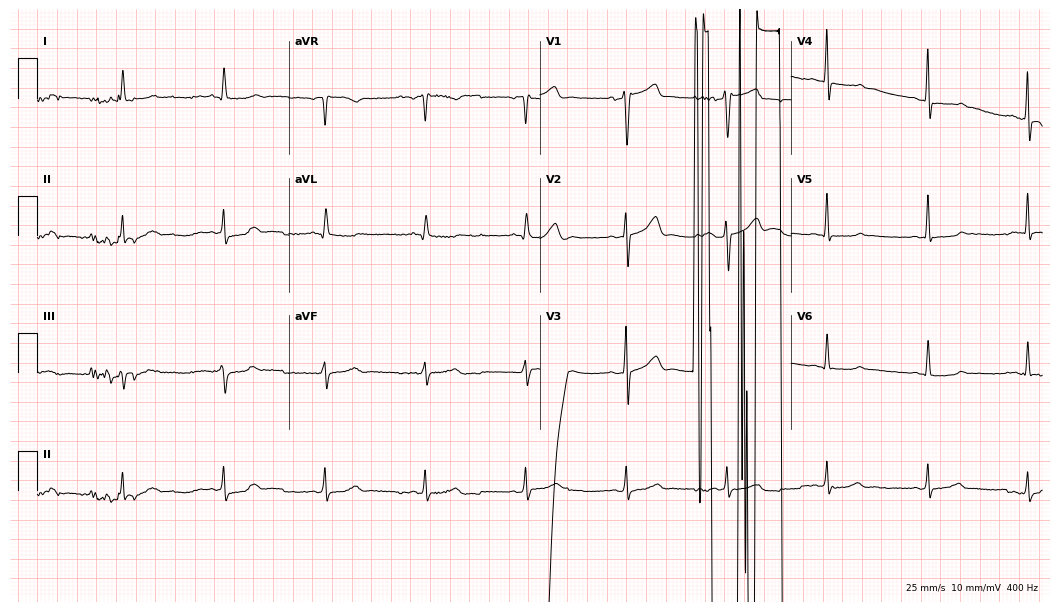
ECG — an 80-year-old male patient. Screened for six findings — first-degree AV block, right bundle branch block, left bundle branch block, sinus bradycardia, atrial fibrillation, sinus tachycardia — none is recorded. Findings outside these six are not listed.